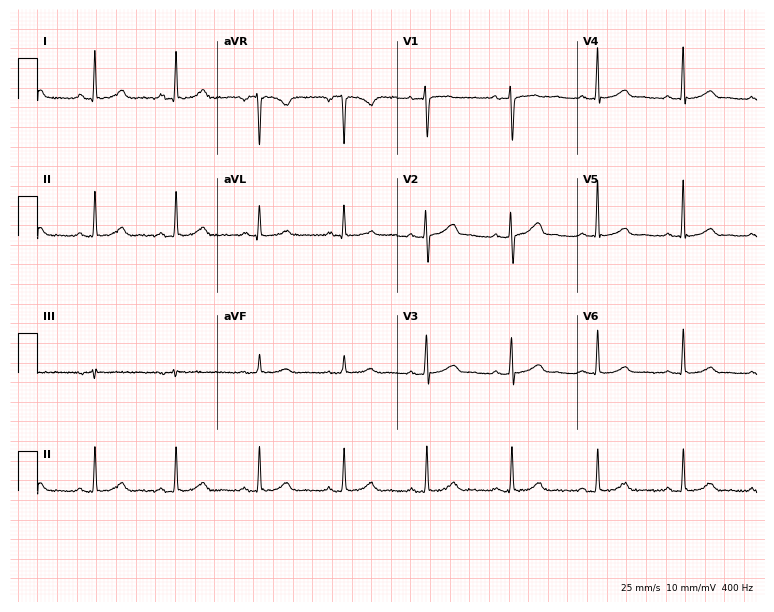
12-lead ECG from a 46-year-old woman. Screened for six findings — first-degree AV block, right bundle branch block, left bundle branch block, sinus bradycardia, atrial fibrillation, sinus tachycardia — none is recorded. Other findings, if any, are not listed.